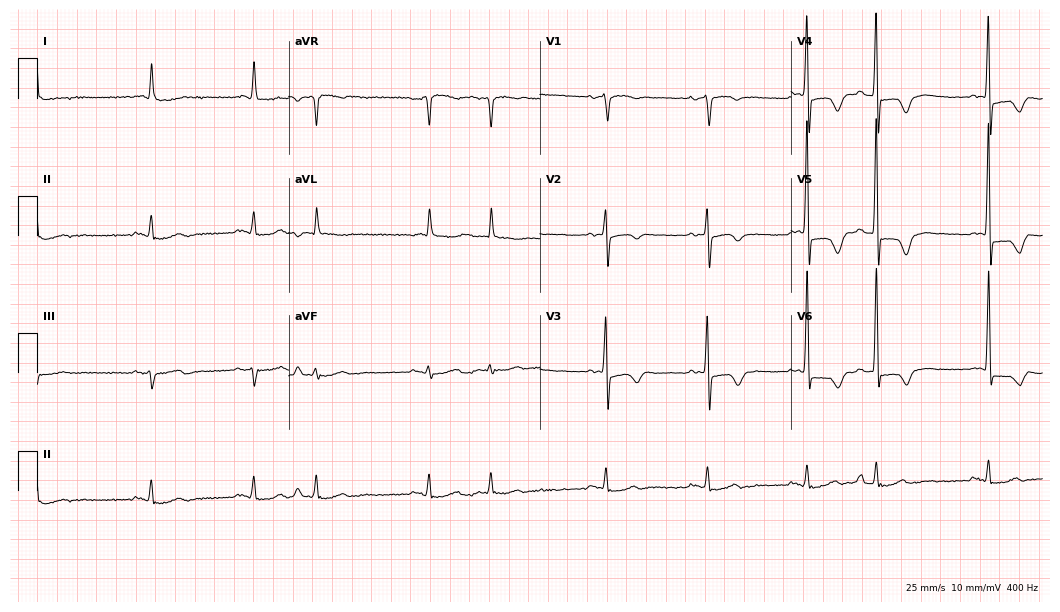
Electrocardiogram, a male, 77 years old. Of the six screened findings (first-degree AV block, right bundle branch block (RBBB), left bundle branch block (LBBB), sinus bradycardia, atrial fibrillation (AF), sinus tachycardia), none is recorded.